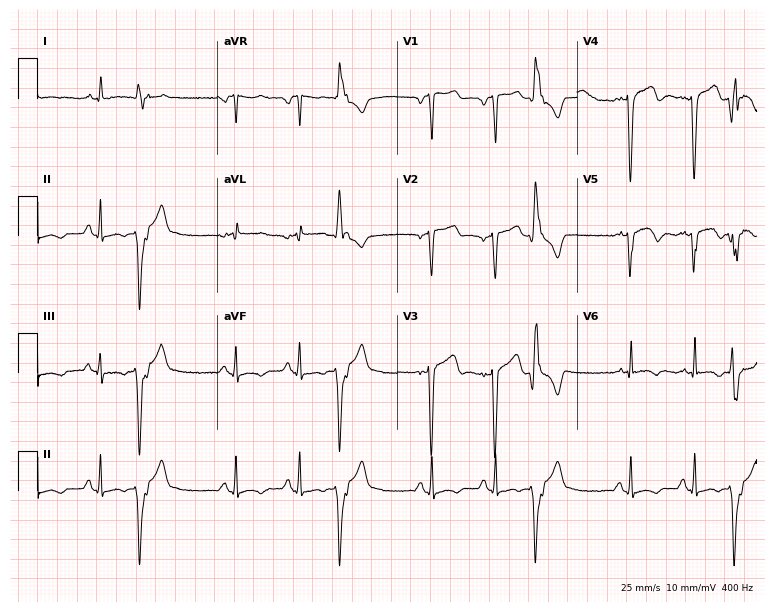
ECG (7.3-second recording at 400 Hz) — a man, 56 years old. Screened for six findings — first-degree AV block, right bundle branch block, left bundle branch block, sinus bradycardia, atrial fibrillation, sinus tachycardia — none is recorded. Findings outside these six are not listed.